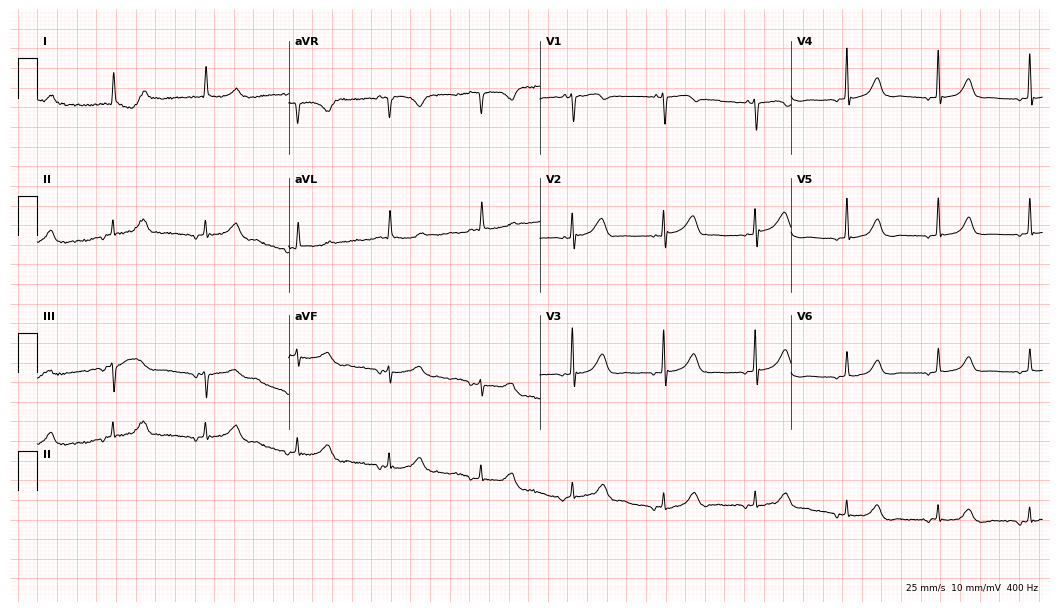
Electrocardiogram (10.2-second recording at 400 Hz), a woman, 81 years old. Of the six screened findings (first-degree AV block, right bundle branch block, left bundle branch block, sinus bradycardia, atrial fibrillation, sinus tachycardia), none is recorded. Findings outside these six are not listed.